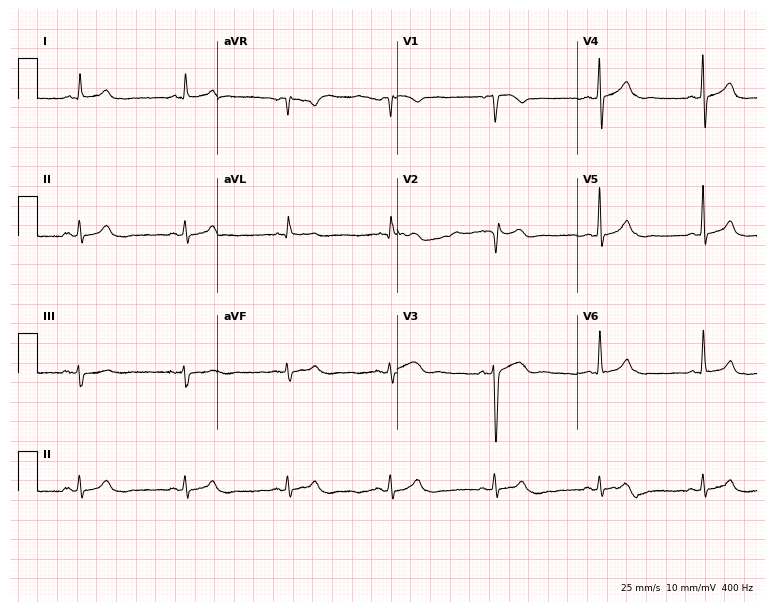
Standard 12-lead ECG recorded from a male, 57 years old. Read as a normal ECG.